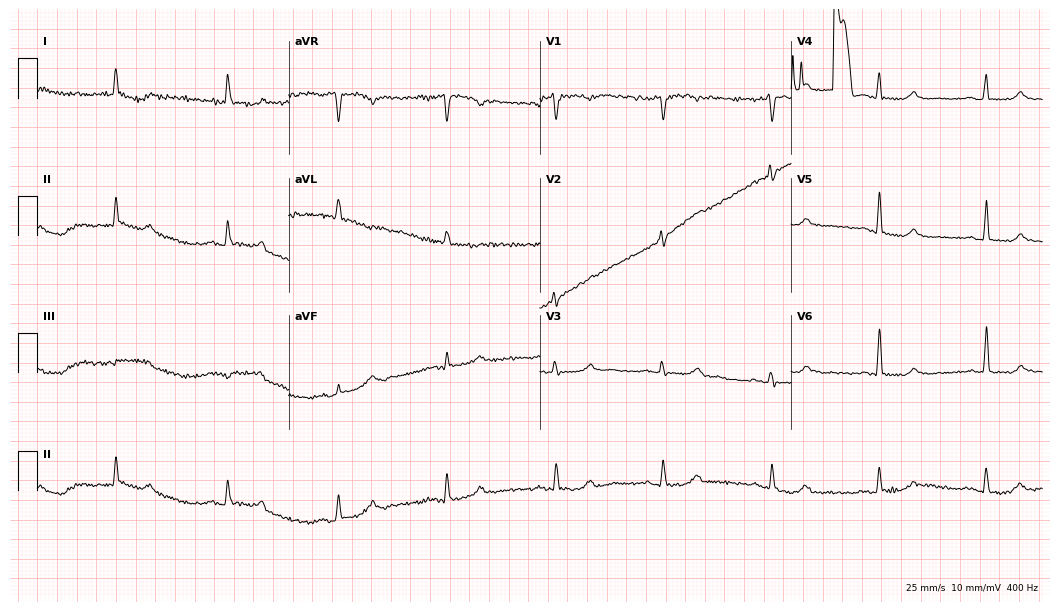
12-lead ECG (10.2-second recording at 400 Hz) from a woman, 76 years old. Screened for six findings — first-degree AV block, right bundle branch block, left bundle branch block, sinus bradycardia, atrial fibrillation, sinus tachycardia — none is recorded.